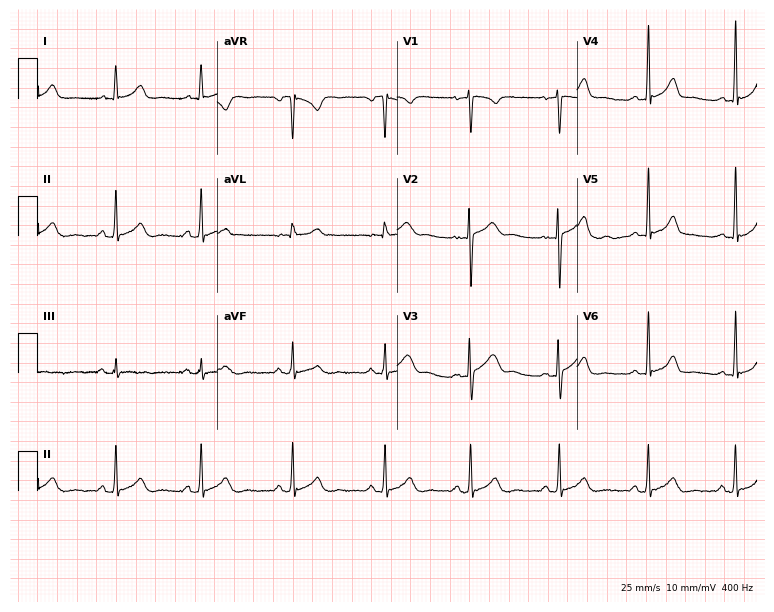
12-lead ECG from a 28-year-old female patient. Recorded interpretation: within normal limits.